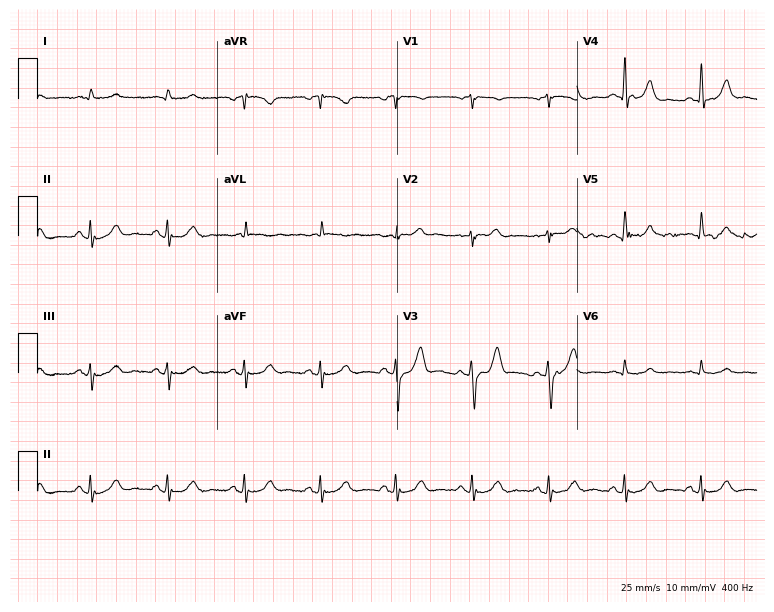
12-lead ECG from a 71-year-old male. Labelled as a normal ECG.